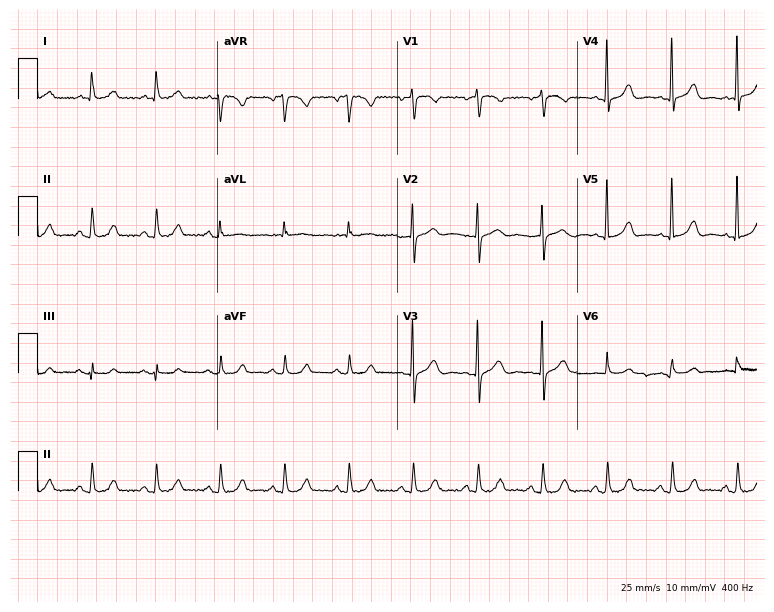
Resting 12-lead electrocardiogram (7.3-second recording at 400 Hz). Patient: a 78-year-old woman. None of these six findings is recorded: first-degree AV block, right bundle branch block, left bundle branch block, sinus bradycardia, atrial fibrillation, sinus tachycardia.